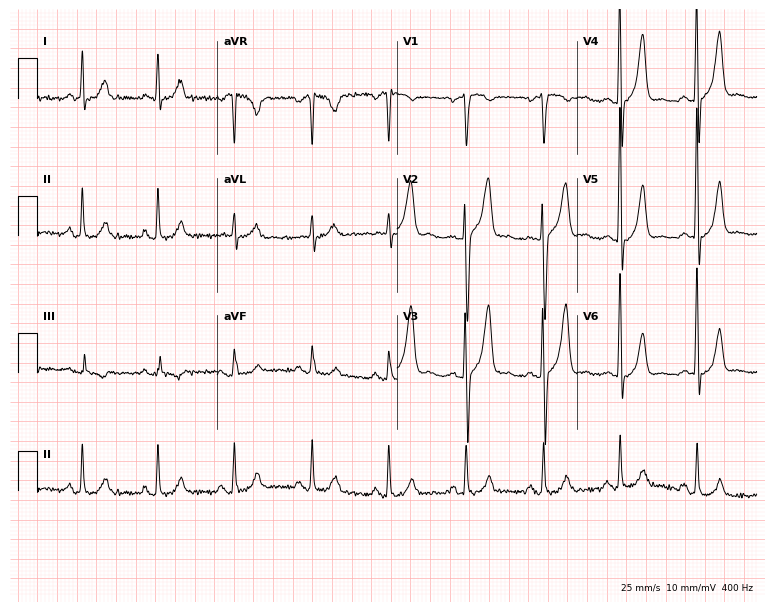
12-lead ECG from a 47-year-old man (7.3-second recording at 400 Hz). No first-degree AV block, right bundle branch block, left bundle branch block, sinus bradycardia, atrial fibrillation or sinus tachycardia recorded for this tracing.